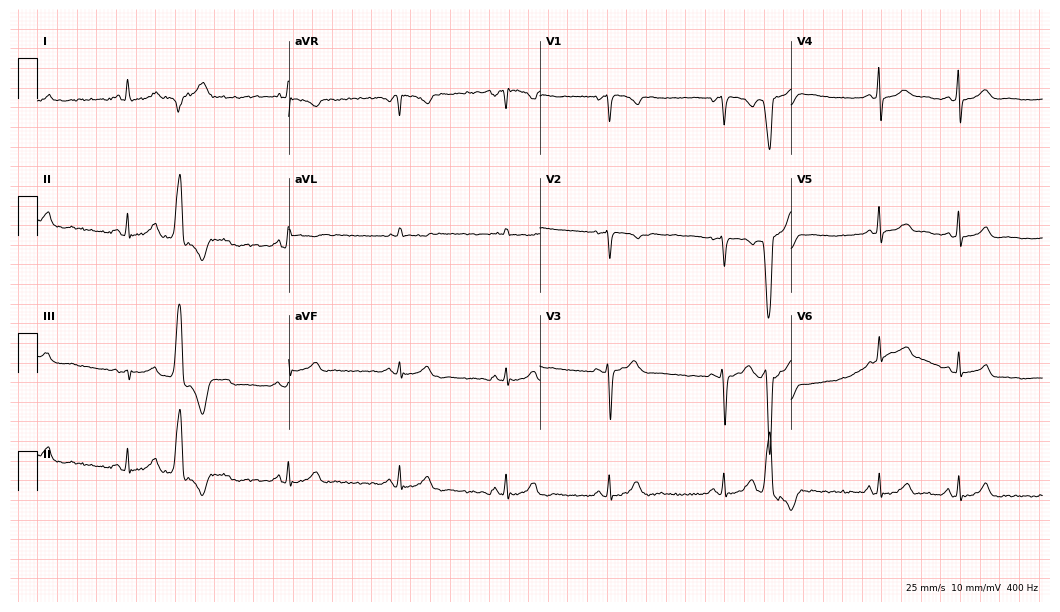
ECG — a female patient, 24 years old. Screened for six findings — first-degree AV block, right bundle branch block, left bundle branch block, sinus bradycardia, atrial fibrillation, sinus tachycardia — none is recorded. Only these six findings were labelled.